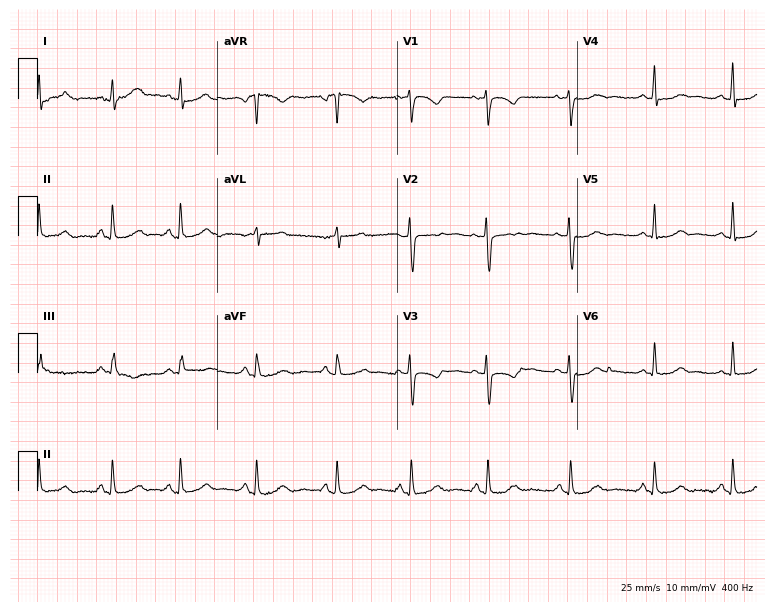
ECG — a female patient, 31 years old. Labelled as a normal ECG.